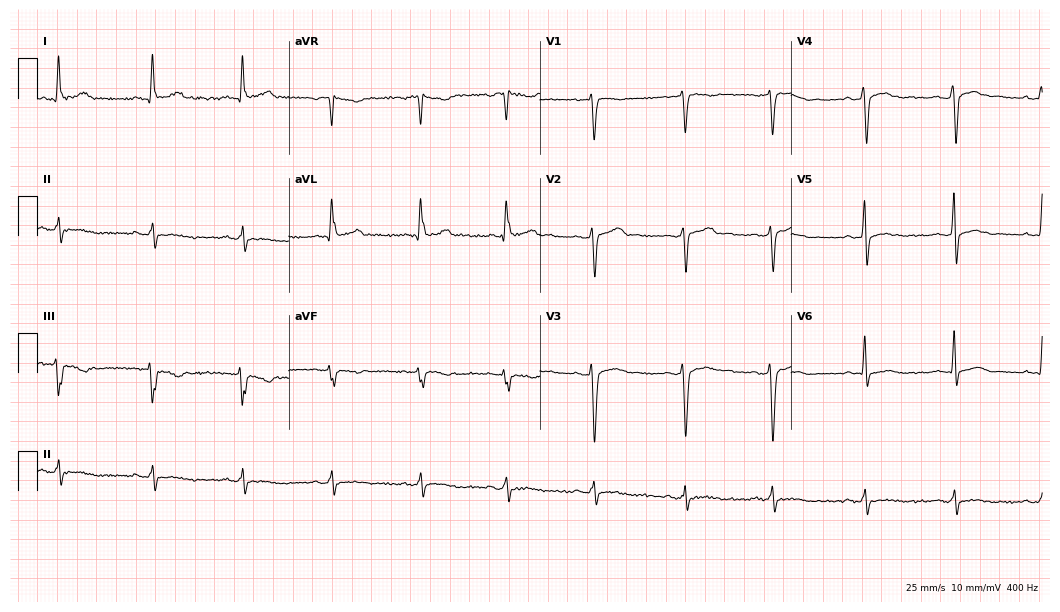
12-lead ECG (10.2-second recording at 400 Hz) from a male patient, 39 years old. Screened for six findings — first-degree AV block, right bundle branch block (RBBB), left bundle branch block (LBBB), sinus bradycardia, atrial fibrillation (AF), sinus tachycardia — none is recorded.